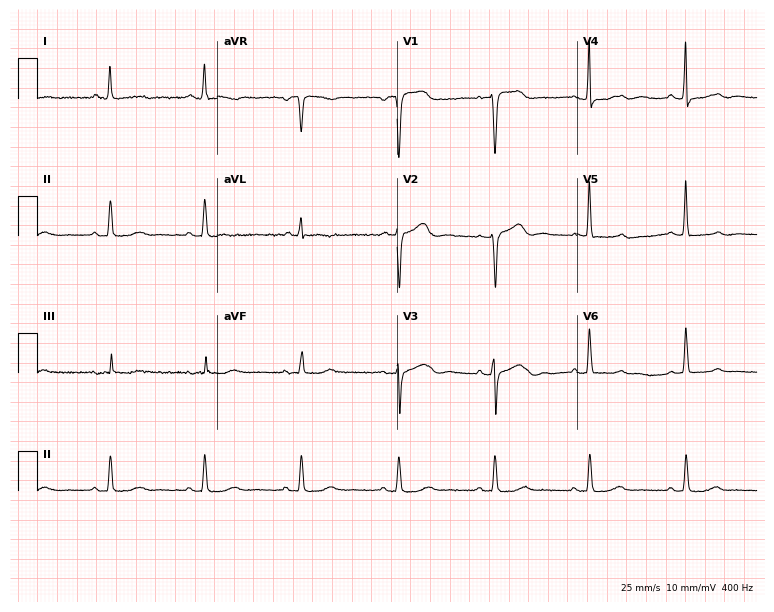
12-lead ECG from a 74-year-old female patient. No first-degree AV block, right bundle branch block, left bundle branch block, sinus bradycardia, atrial fibrillation or sinus tachycardia recorded for this tracing. Findings outside these six are not listed.